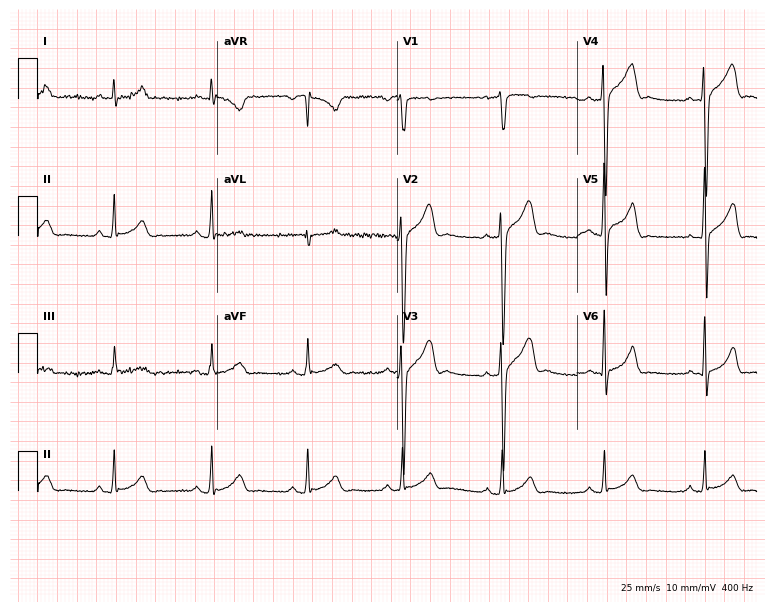
Resting 12-lead electrocardiogram (7.3-second recording at 400 Hz). Patient: a male, 34 years old. None of these six findings is recorded: first-degree AV block, right bundle branch block, left bundle branch block, sinus bradycardia, atrial fibrillation, sinus tachycardia. Findings outside these six are not listed.